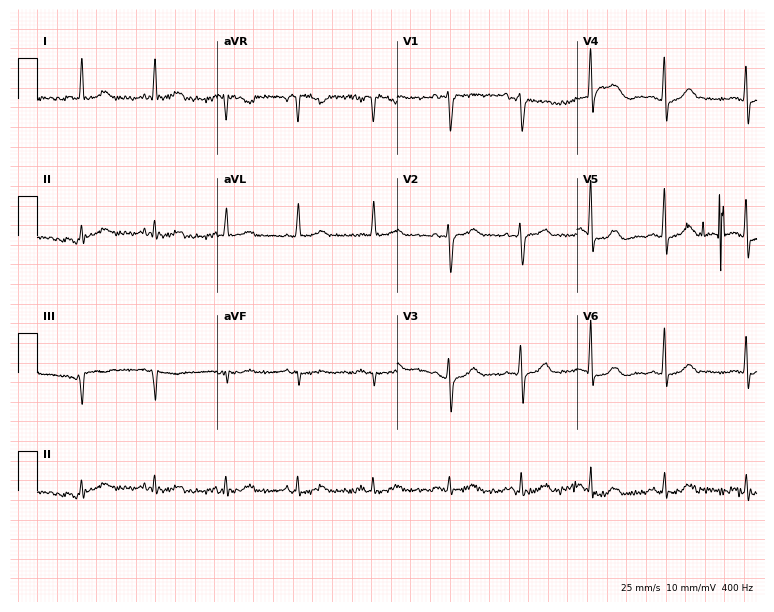
ECG — a female patient, 61 years old. Labelled as a normal ECG.